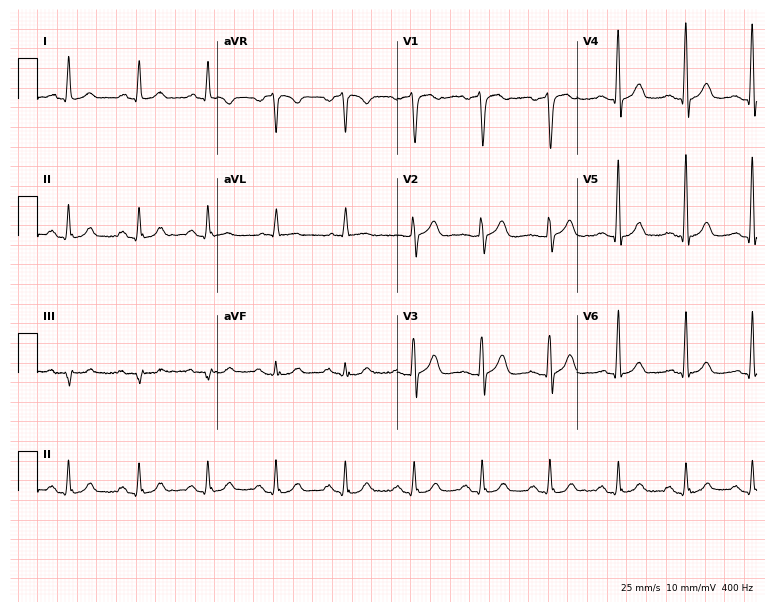
Resting 12-lead electrocardiogram. Patient: a man, 51 years old. Read as a normal ECG.